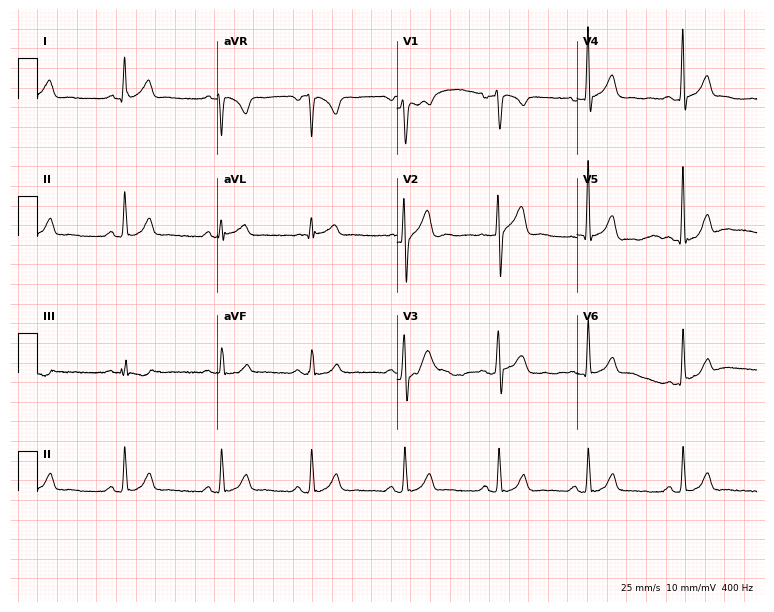
Standard 12-lead ECG recorded from a man, 36 years old (7.3-second recording at 400 Hz). Read as a normal ECG.